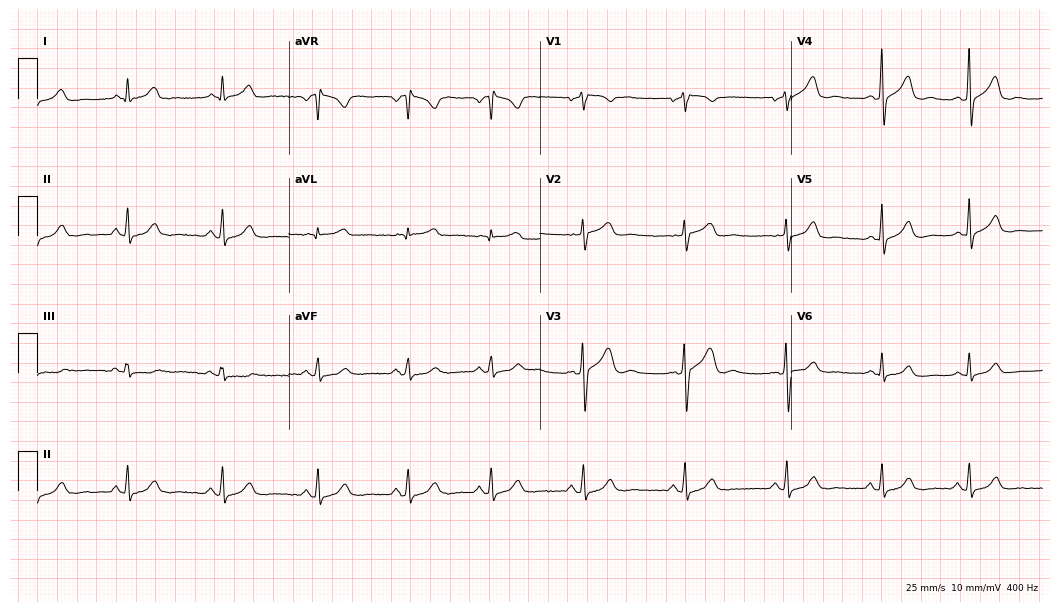
12-lead ECG (10.2-second recording at 400 Hz) from a female patient, 38 years old. Labelled as a normal ECG.